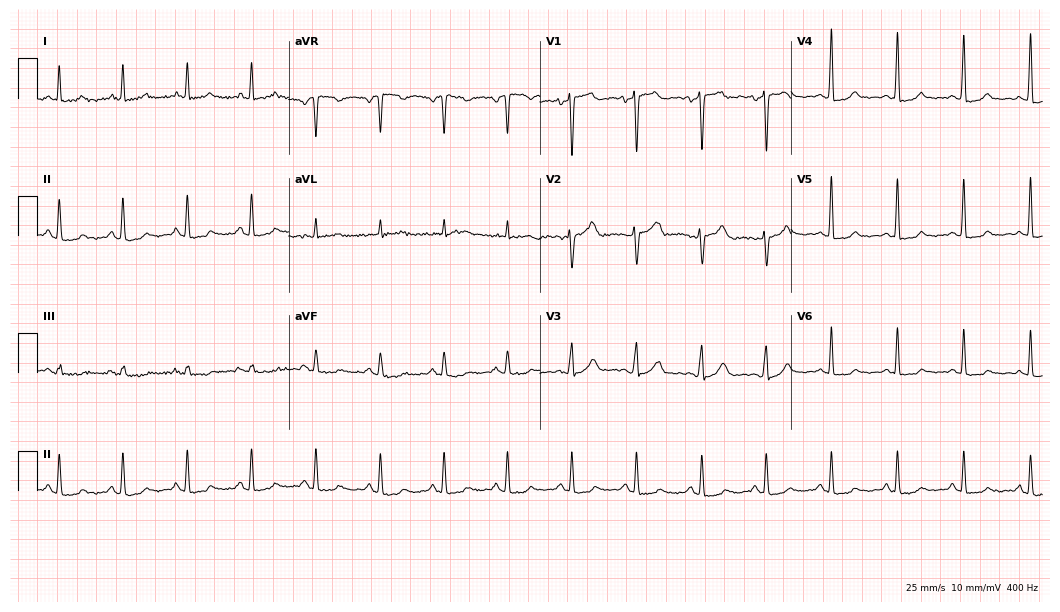
12-lead ECG from a female patient, 53 years old. Screened for six findings — first-degree AV block, right bundle branch block, left bundle branch block, sinus bradycardia, atrial fibrillation, sinus tachycardia — none is recorded.